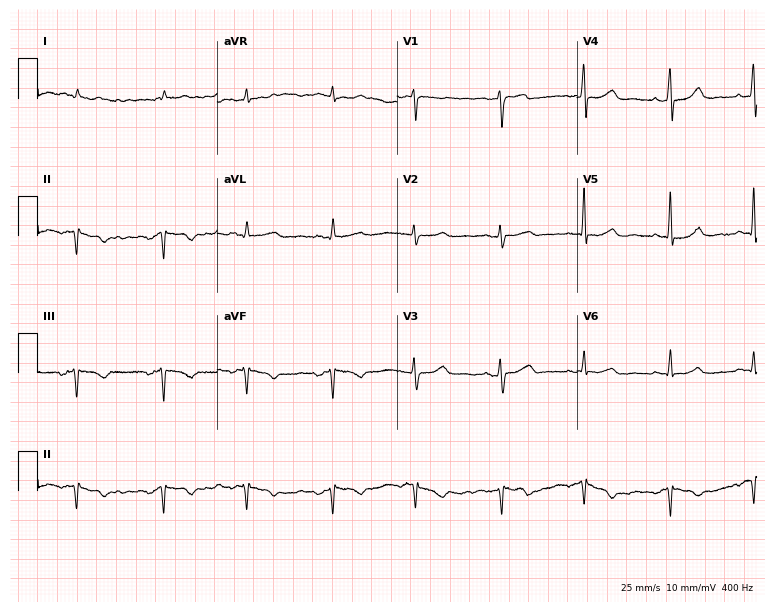
Resting 12-lead electrocardiogram. Patient: a female, 42 years old. None of these six findings is recorded: first-degree AV block, right bundle branch block, left bundle branch block, sinus bradycardia, atrial fibrillation, sinus tachycardia.